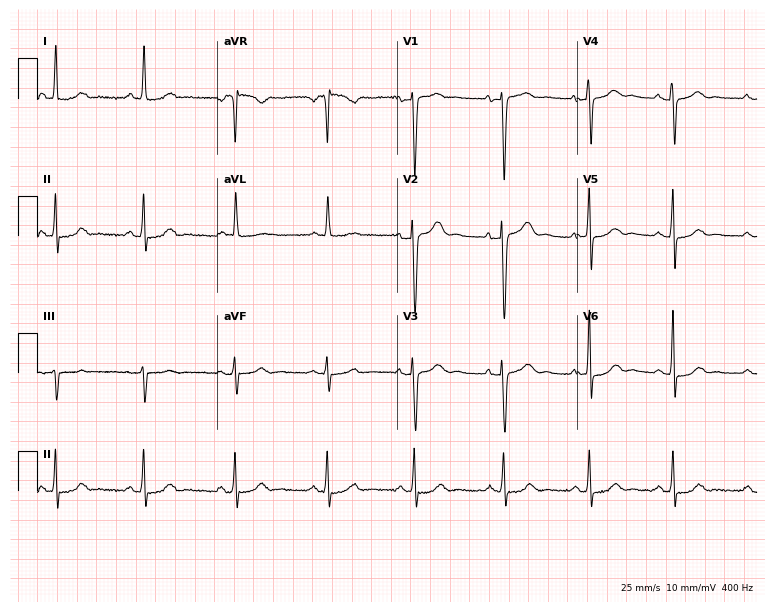
12-lead ECG from a female, 53 years old. Labelled as a normal ECG.